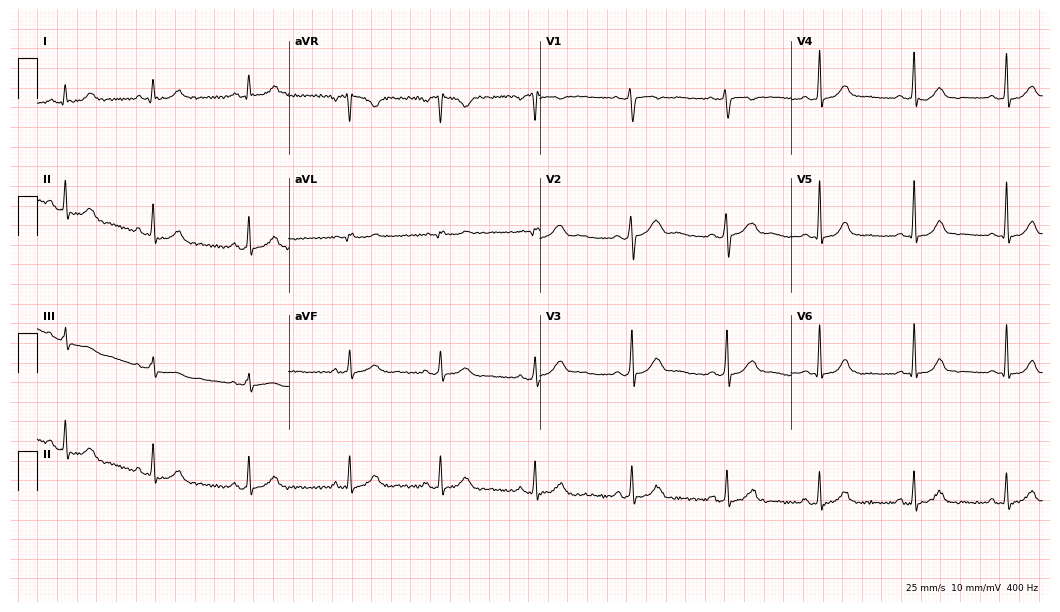
Electrocardiogram, a 35-year-old female patient. Of the six screened findings (first-degree AV block, right bundle branch block, left bundle branch block, sinus bradycardia, atrial fibrillation, sinus tachycardia), none is recorded. Only these six findings were labelled.